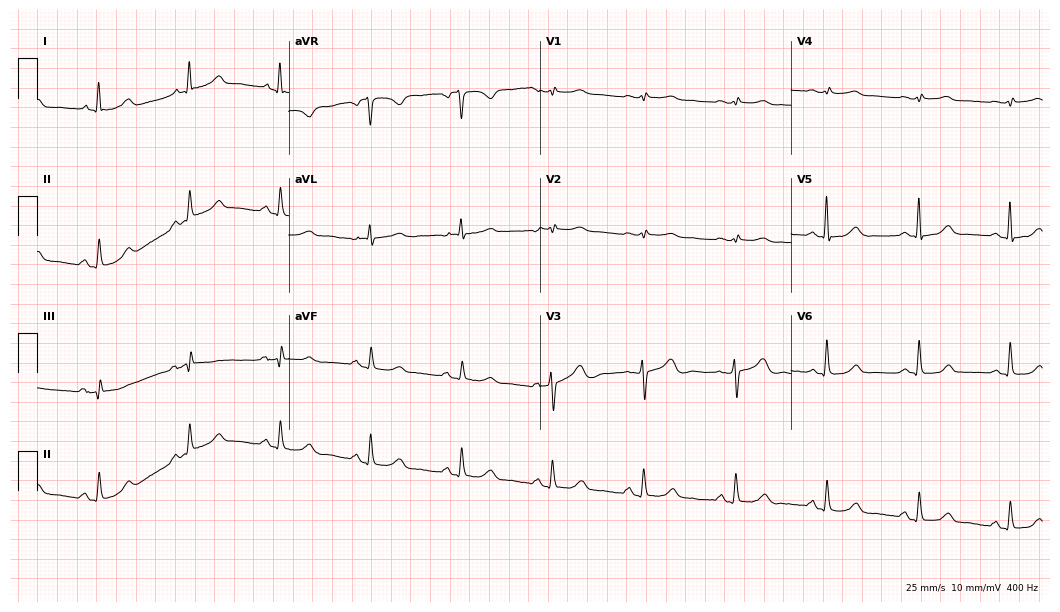
Resting 12-lead electrocardiogram. Patient: a 78-year-old female. Read as a normal ECG.